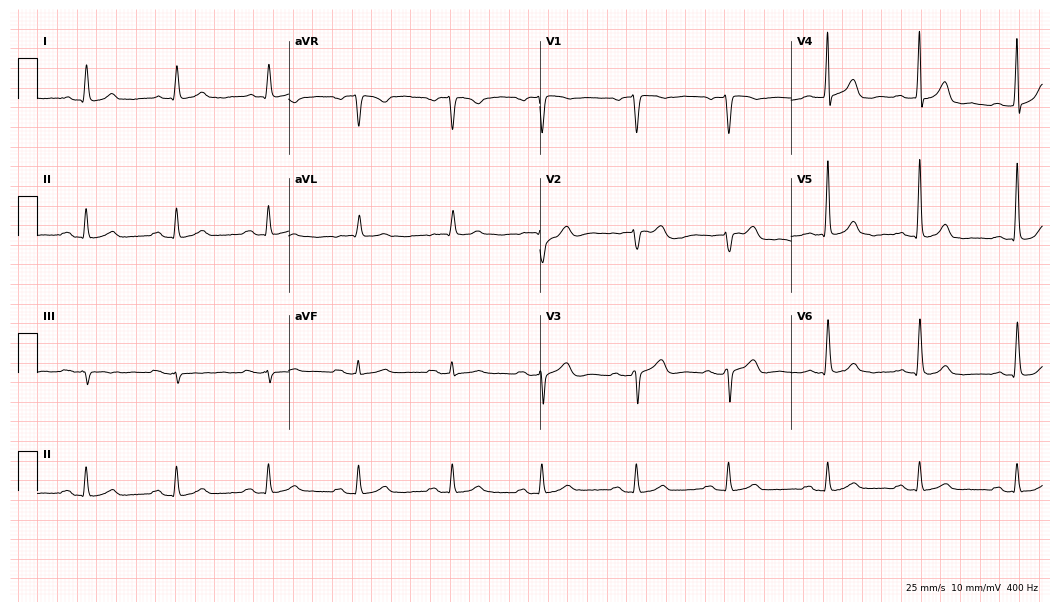
Resting 12-lead electrocardiogram (10.2-second recording at 400 Hz). Patient: a 70-year-old male. The tracing shows first-degree AV block.